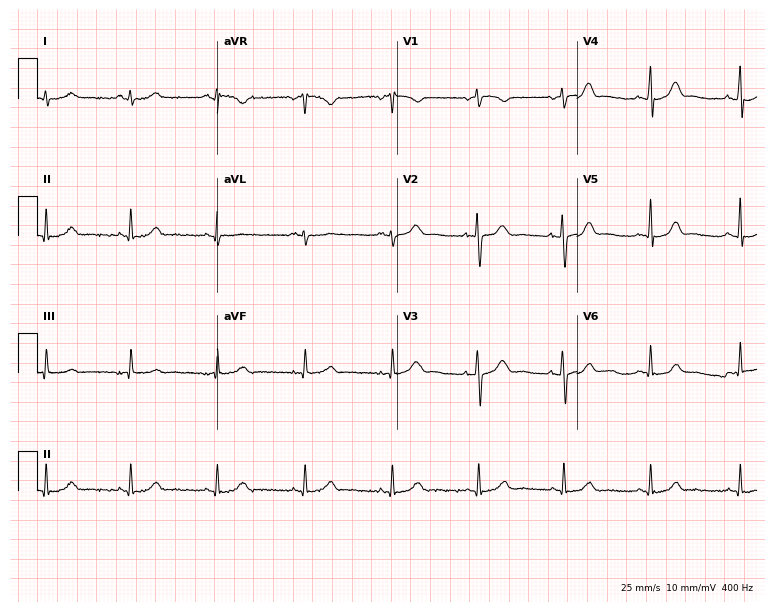
ECG — a female, 41 years old. Labelled as a normal ECG.